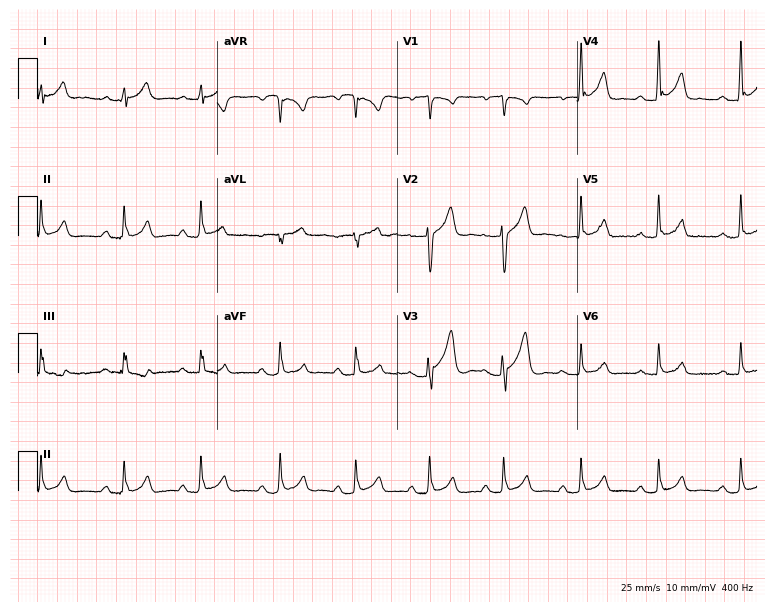
12-lead ECG from a 25-year-old male patient. No first-degree AV block, right bundle branch block (RBBB), left bundle branch block (LBBB), sinus bradycardia, atrial fibrillation (AF) or sinus tachycardia recorded for this tracing.